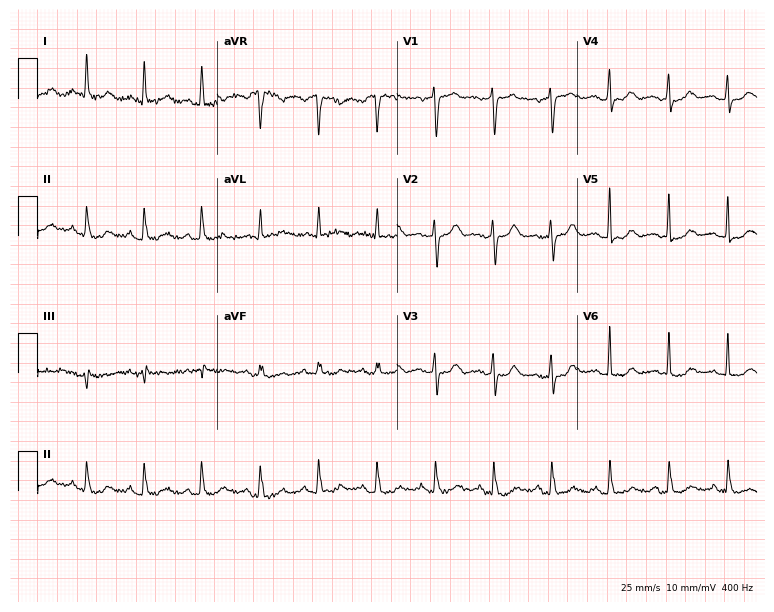
Resting 12-lead electrocardiogram. Patient: a 67-year-old woman. None of these six findings is recorded: first-degree AV block, right bundle branch block (RBBB), left bundle branch block (LBBB), sinus bradycardia, atrial fibrillation (AF), sinus tachycardia.